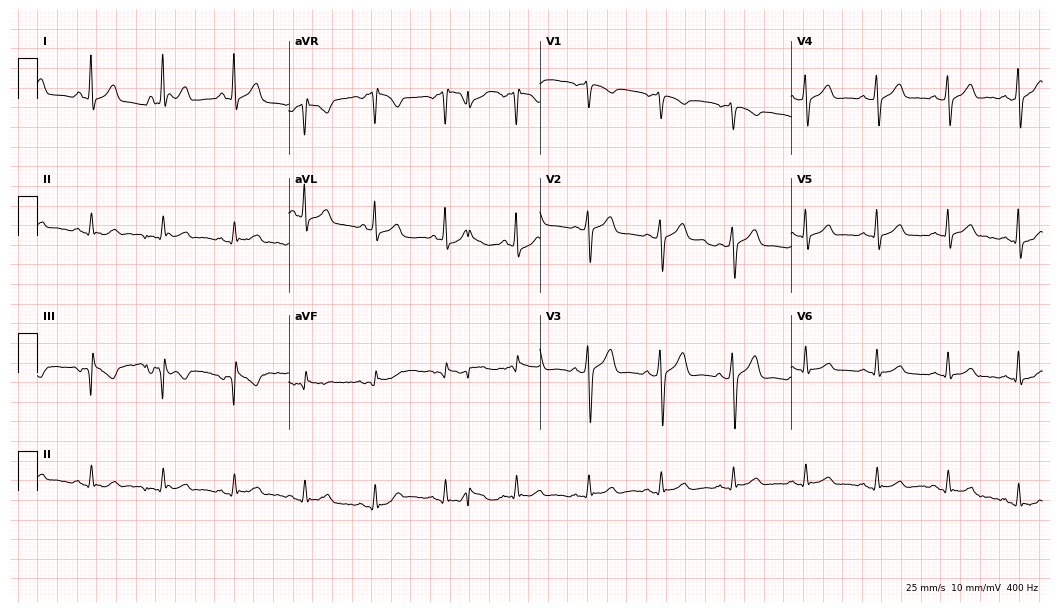
12-lead ECG from a 59-year-old man. Labelled as a normal ECG.